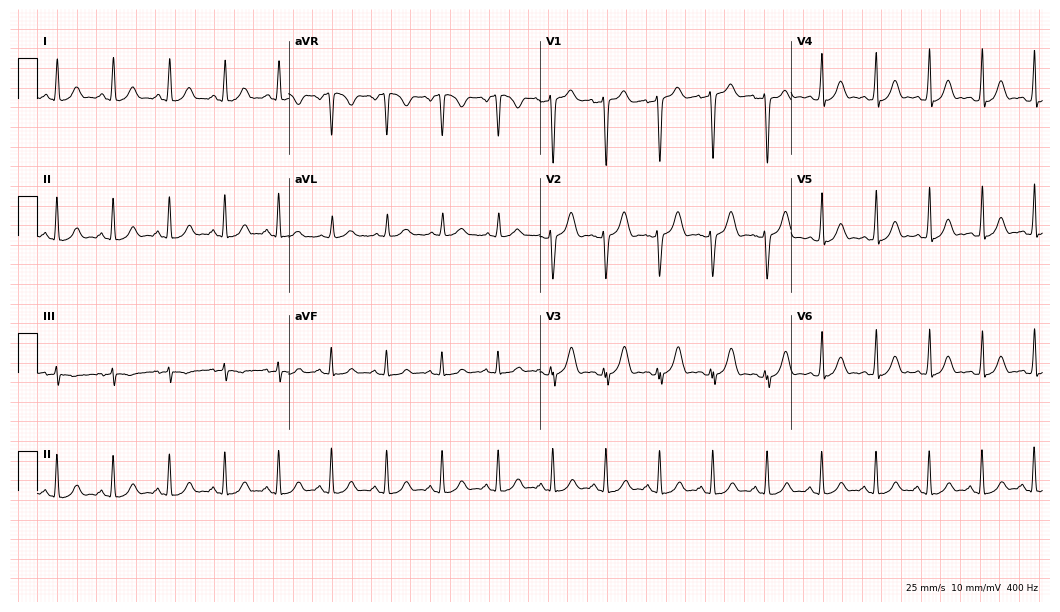
ECG — a female, 27 years old. Findings include sinus tachycardia (a sinus rate of 100 beats per minute or more).